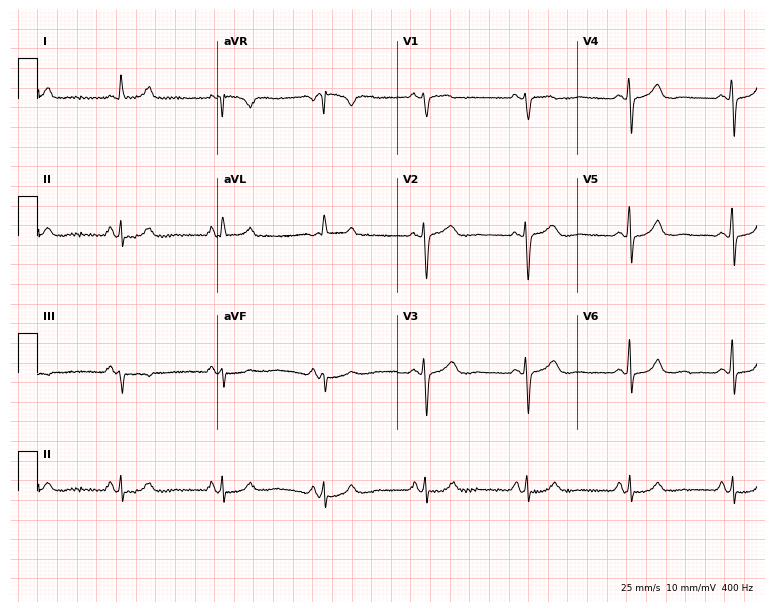
ECG — a female patient, 78 years old. Screened for six findings — first-degree AV block, right bundle branch block, left bundle branch block, sinus bradycardia, atrial fibrillation, sinus tachycardia — none is recorded. Findings outside these six are not listed.